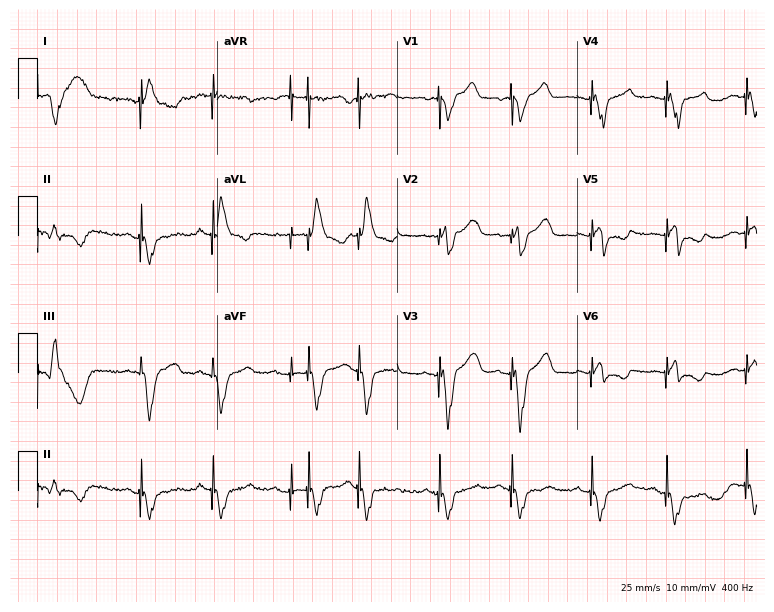
ECG (7.3-second recording at 400 Hz) — a 79-year-old male. Screened for six findings — first-degree AV block, right bundle branch block, left bundle branch block, sinus bradycardia, atrial fibrillation, sinus tachycardia — none is recorded. Only these six findings were labelled.